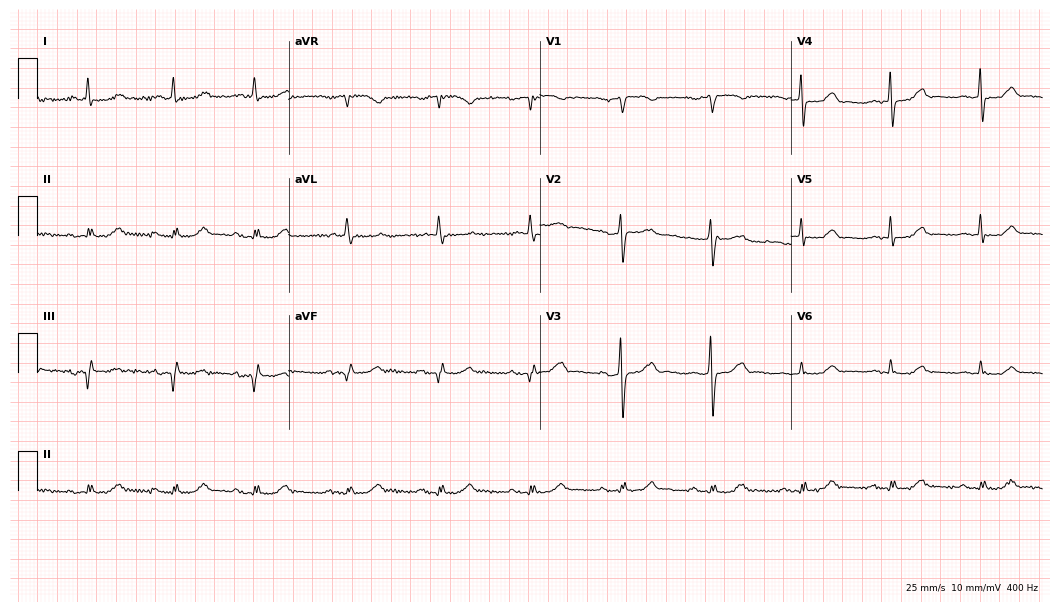
12-lead ECG from a female patient, 72 years old. Labelled as a normal ECG.